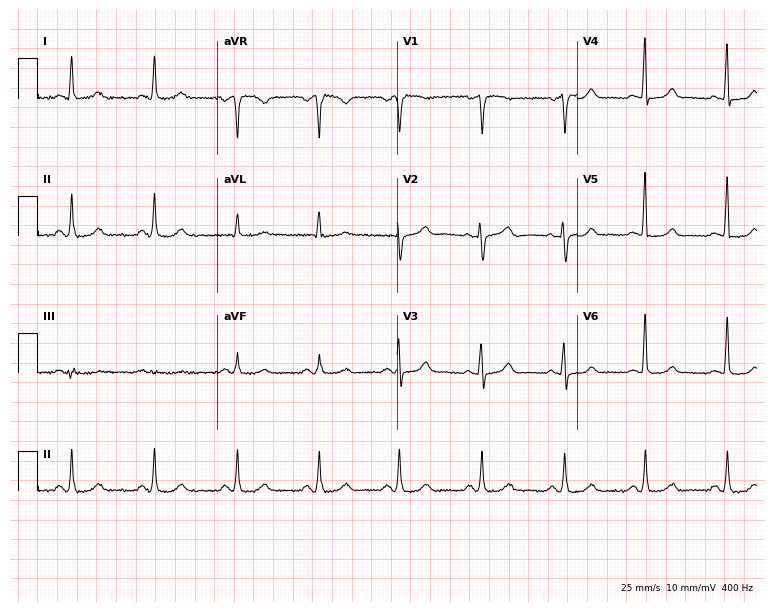
Electrocardiogram (7.3-second recording at 400 Hz), a female, 60 years old. Of the six screened findings (first-degree AV block, right bundle branch block, left bundle branch block, sinus bradycardia, atrial fibrillation, sinus tachycardia), none is recorded. Other findings, if any, are not listed.